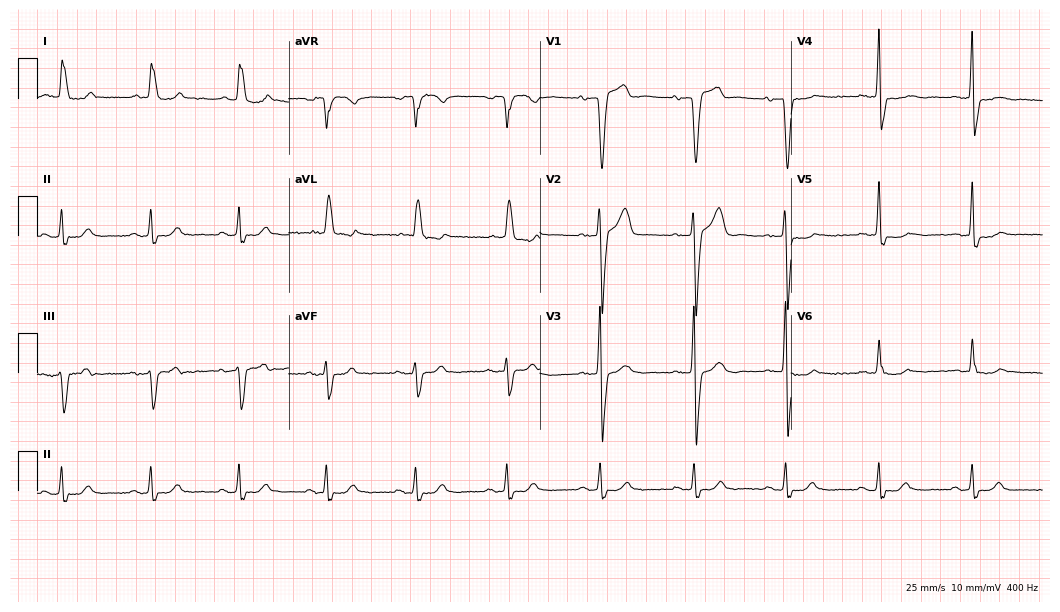
Standard 12-lead ECG recorded from a man, 66 years old. The tracing shows left bundle branch block (LBBB).